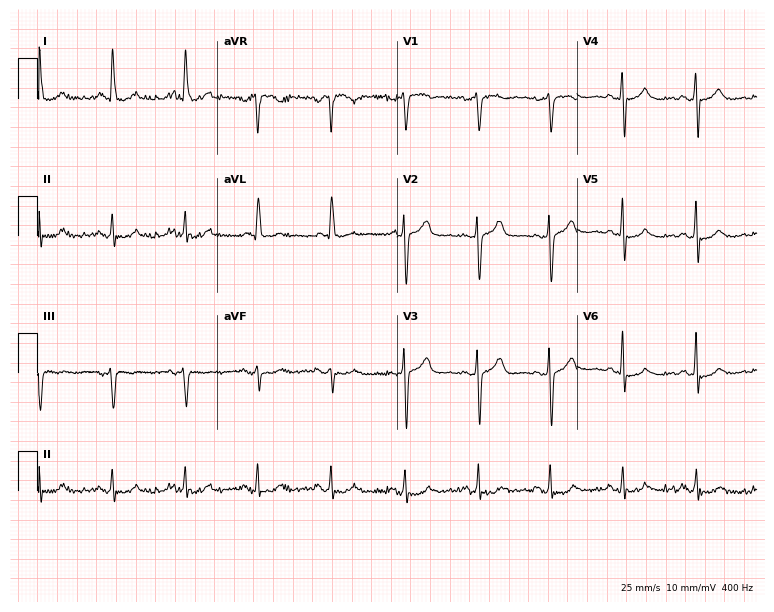
Electrocardiogram, a female patient, 64 years old. Of the six screened findings (first-degree AV block, right bundle branch block, left bundle branch block, sinus bradycardia, atrial fibrillation, sinus tachycardia), none is recorded. Only these six findings were labelled.